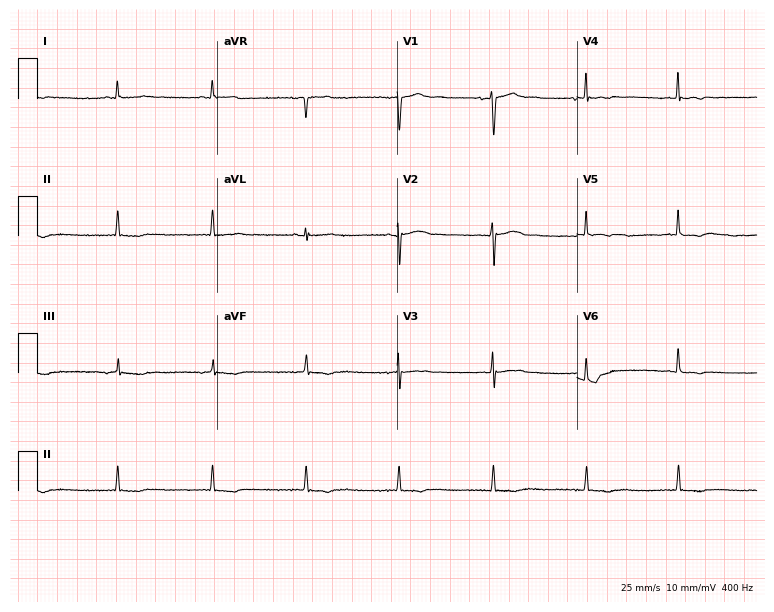
Electrocardiogram, a 69-year-old woman. Of the six screened findings (first-degree AV block, right bundle branch block, left bundle branch block, sinus bradycardia, atrial fibrillation, sinus tachycardia), none is recorded. Only these six findings were labelled.